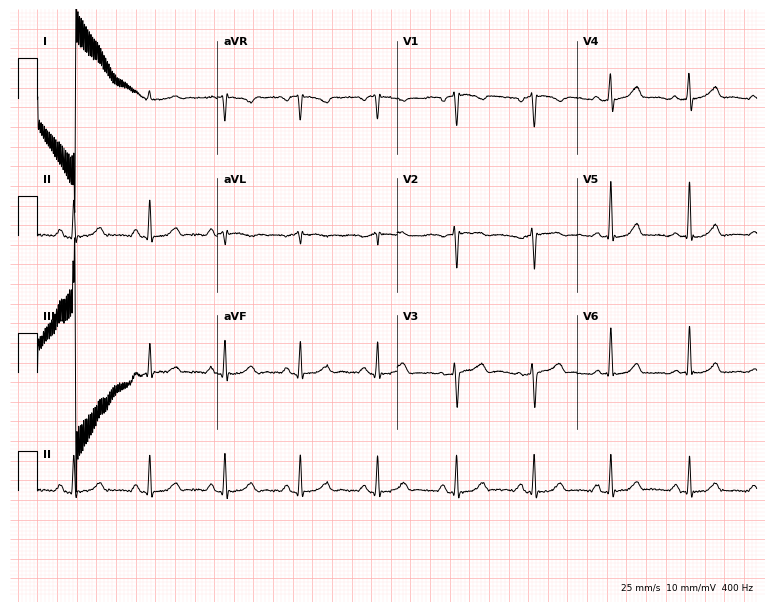
12-lead ECG (7.3-second recording at 400 Hz) from a 63-year-old female. Labelled as a normal ECG.